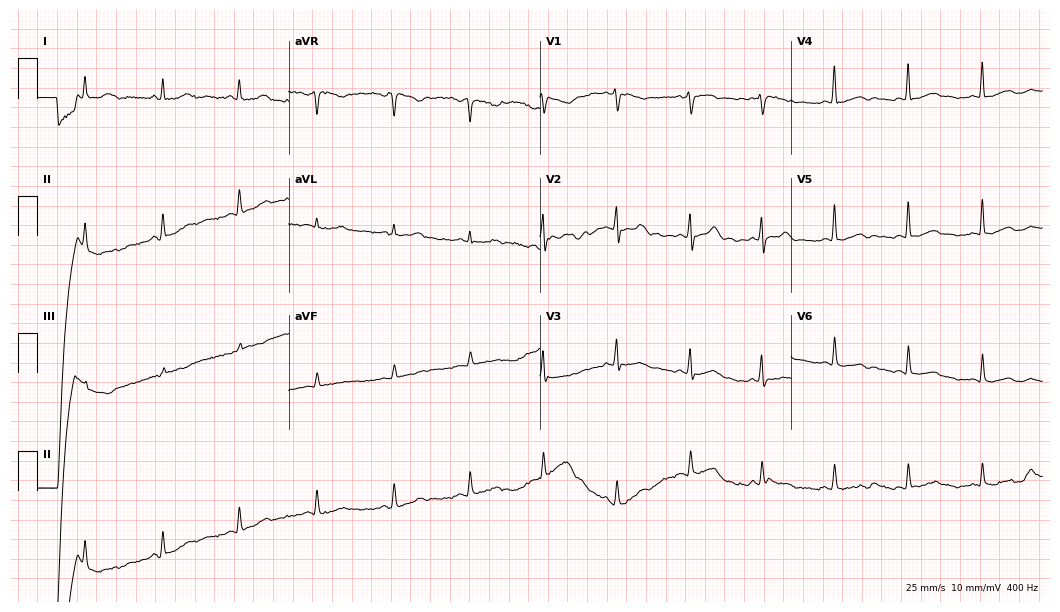
Resting 12-lead electrocardiogram. Patient: a female, 37 years old. None of these six findings is recorded: first-degree AV block, right bundle branch block (RBBB), left bundle branch block (LBBB), sinus bradycardia, atrial fibrillation (AF), sinus tachycardia. Only these six findings were labelled.